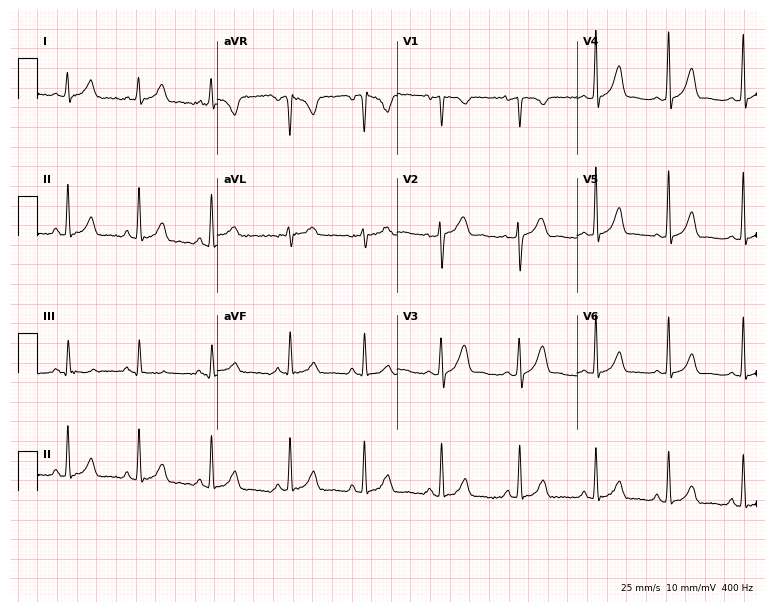
Electrocardiogram (7.3-second recording at 400 Hz), a 32-year-old female. Of the six screened findings (first-degree AV block, right bundle branch block, left bundle branch block, sinus bradycardia, atrial fibrillation, sinus tachycardia), none is recorded. Findings outside these six are not listed.